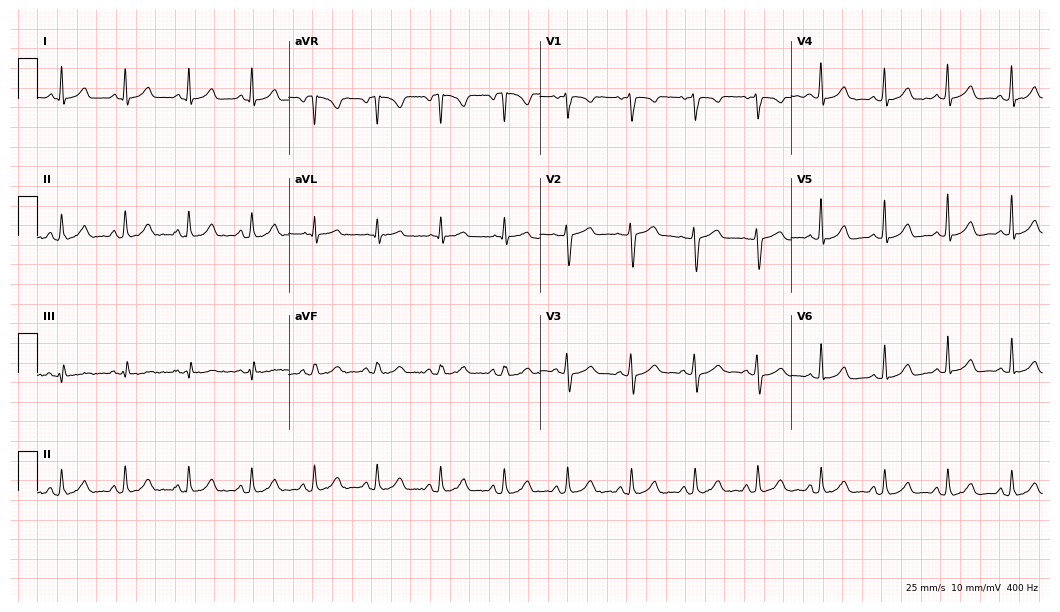
Electrocardiogram, a woman, 43 years old. Overall reading on record: normal ECG.